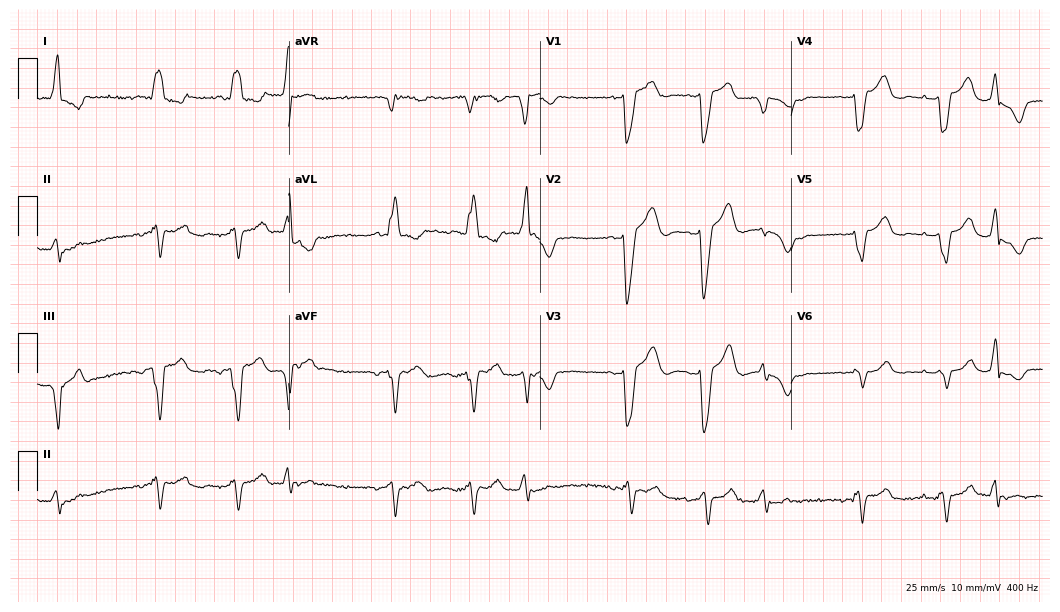
12-lead ECG from a female, 84 years old. Shows left bundle branch block, atrial fibrillation.